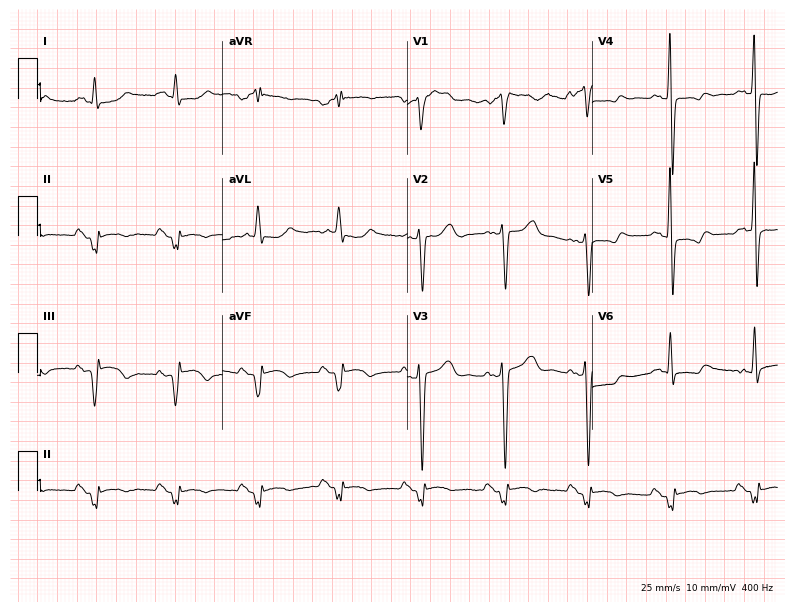
Electrocardiogram (7.5-second recording at 400 Hz), a male, 52 years old. Of the six screened findings (first-degree AV block, right bundle branch block, left bundle branch block, sinus bradycardia, atrial fibrillation, sinus tachycardia), none is recorded.